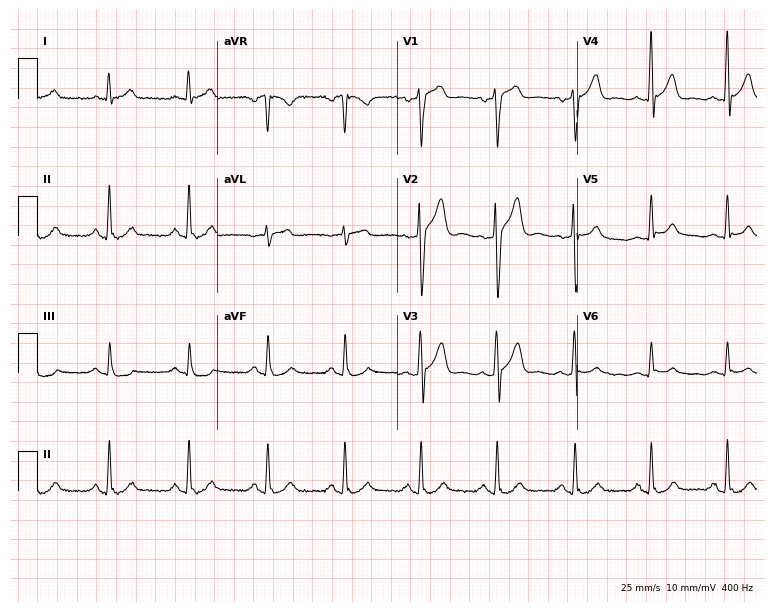
12-lead ECG from a man, 35 years old (7.3-second recording at 400 Hz). Recorded interpretation: within normal limits.